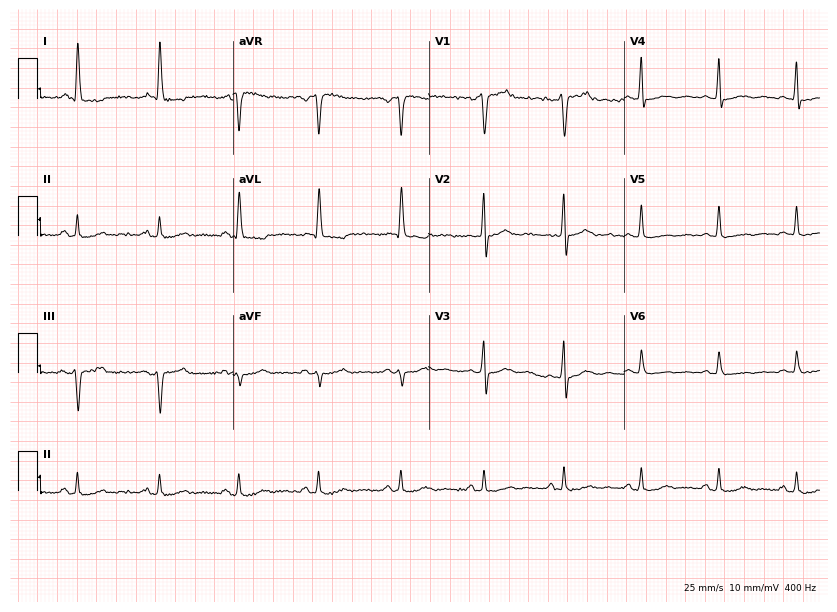
12-lead ECG from a 42-year-old male (8-second recording at 400 Hz). No first-degree AV block, right bundle branch block, left bundle branch block, sinus bradycardia, atrial fibrillation or sinus tachycardia recorded for this tracing.